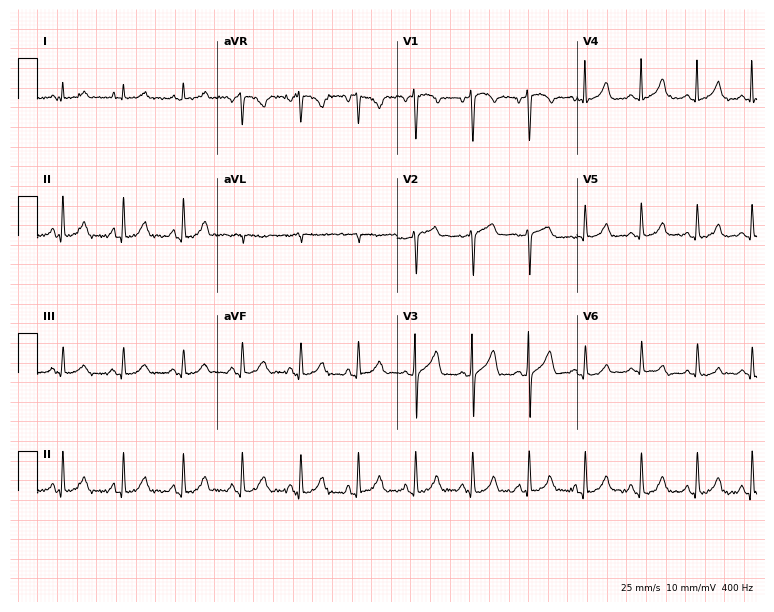
Resting 12-lead electrocardiogram (7.3-second recording at 400 Hz). Patient: a female, 63 years old. The tracing shows sinus tachycardia (a sinus rate of 100 beats per minute or more).